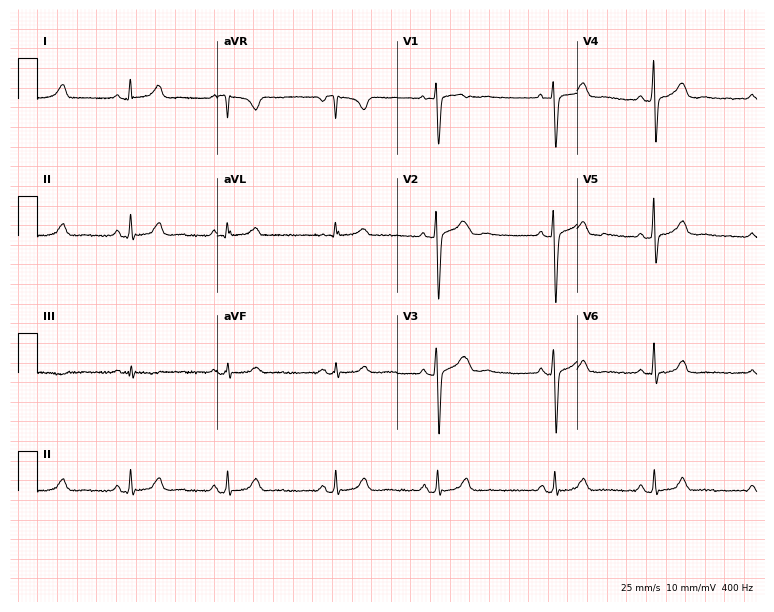
Electrocardiogram (7.3-second recording at 400 Hz), a 39-year-old woman. Overall reading on record: normal ECG.